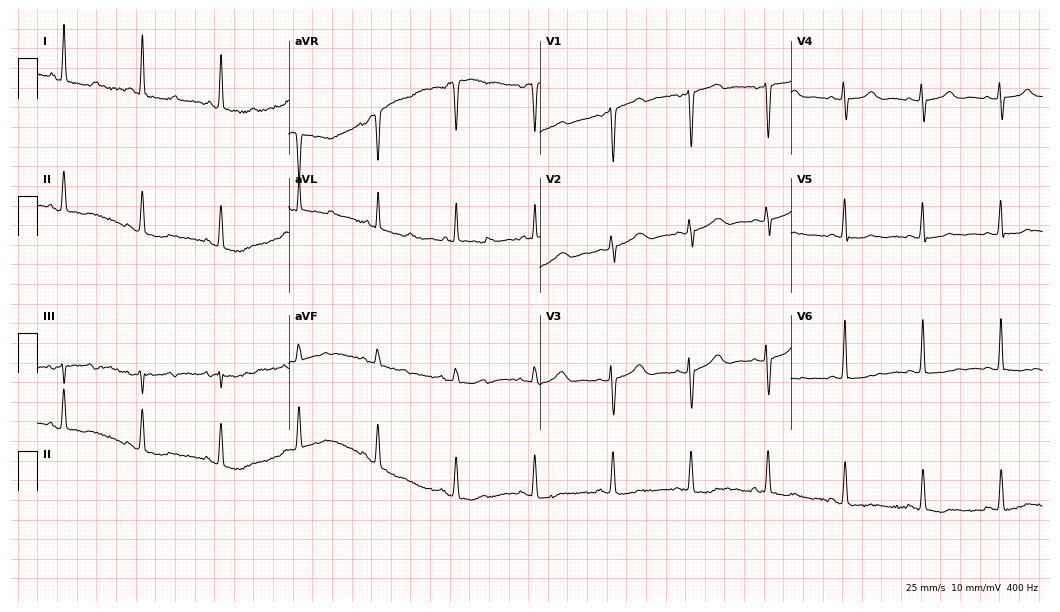
Electrocardiogram, a 65-year-old female. Overall reading on record: normal ECG.